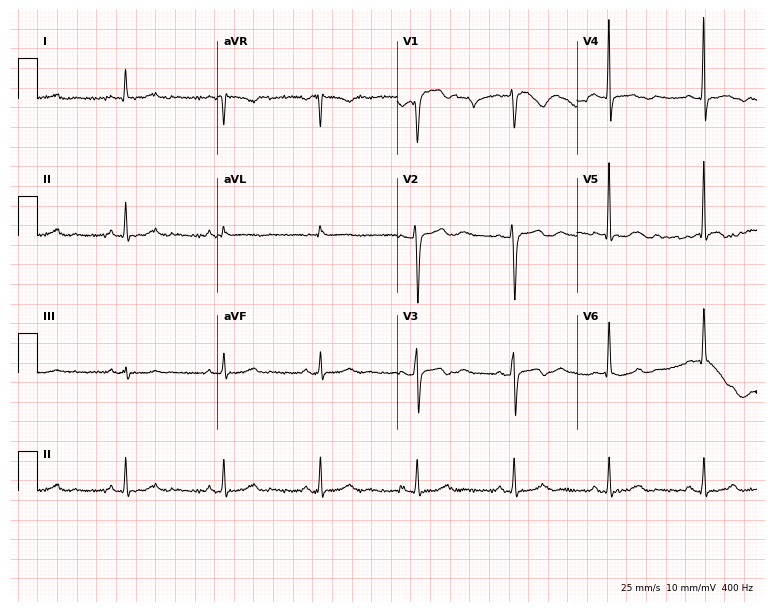
12-lead ECG from a 58-year-old man. No first-degree AV block, right bundle branch block (RBBB), left bundle branch block (LBBB), sinus bradycardia, atrial fibrillation (AF) or sinus tachycardia recorded for this tracing.